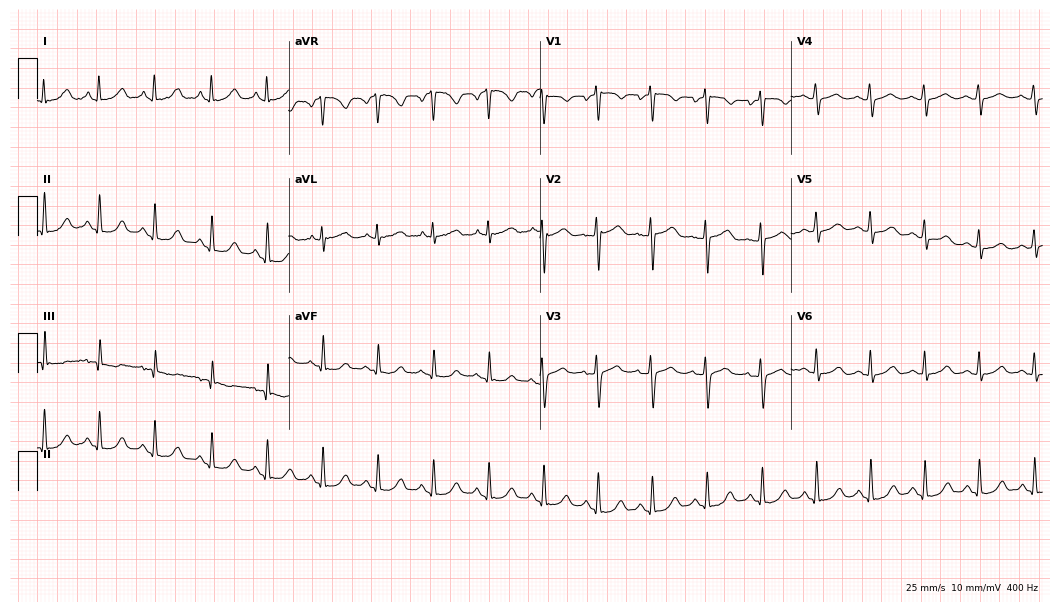
Standard 12-lead ECG recorded from a 32-year-old female patient. The tracing shows sinus tachycardia (a sinus rate of 100 beats per minute or more).